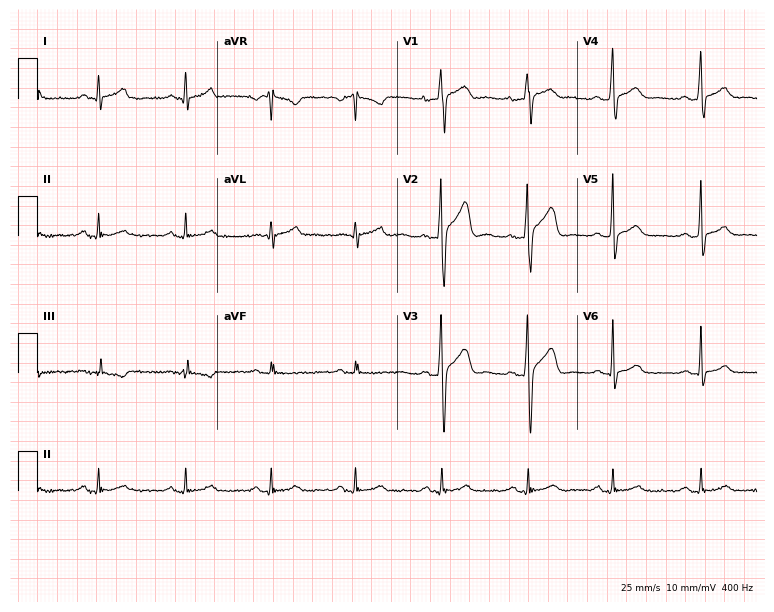
Standard 12-lead ECG recorded from a male, 29 years old (7.3-second recording at 400 Hz). None of these six findings is recorded: first-degree AV block, right bundle branch block, left bundle branch block, sinus bradycardia, atrial fibrillation, sinus tachycardia.